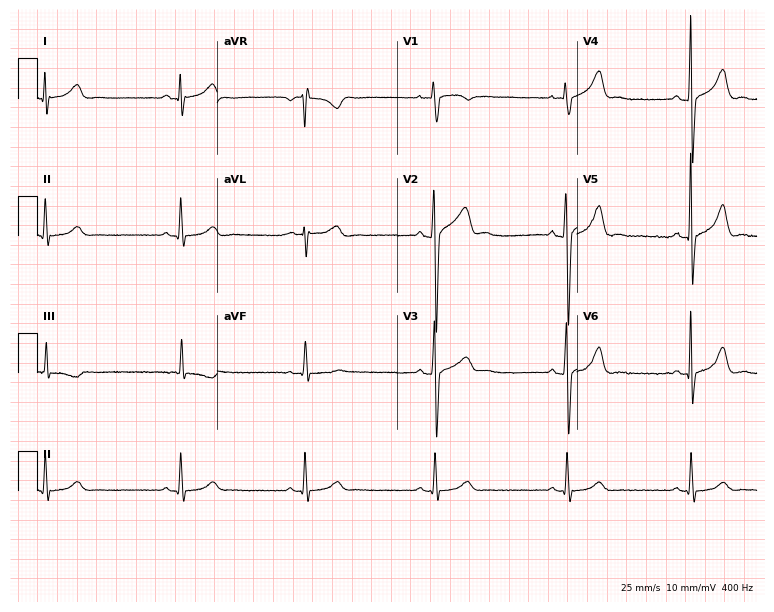
Electrocardiogram (7.3-second recording at 400 Hz), a 28-year-old man. Interpretation includes sinus bradycardia (a sinus rate of 50 beats per minute or less).